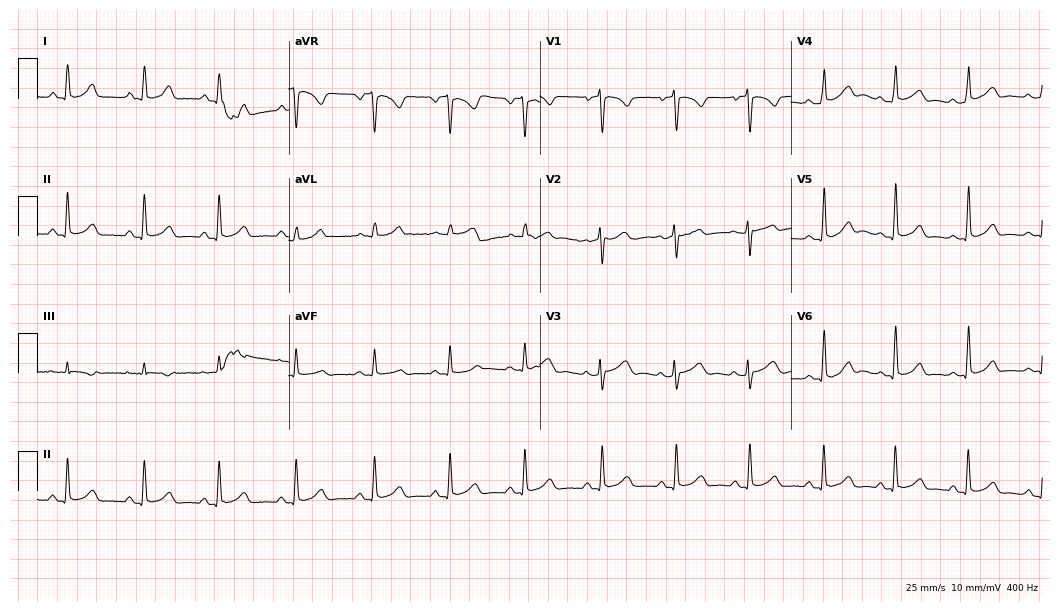
12-lead ECG (10.2-second recording at 400 Hz) from a 27-year-old female. Screened for six findings — first-degree AV block, right bundle branch block, left bundle branch block, sinus bradycardia, atrial fibrillation, sinus tachycardia — none is recorded. Findings outside these six are not listed.